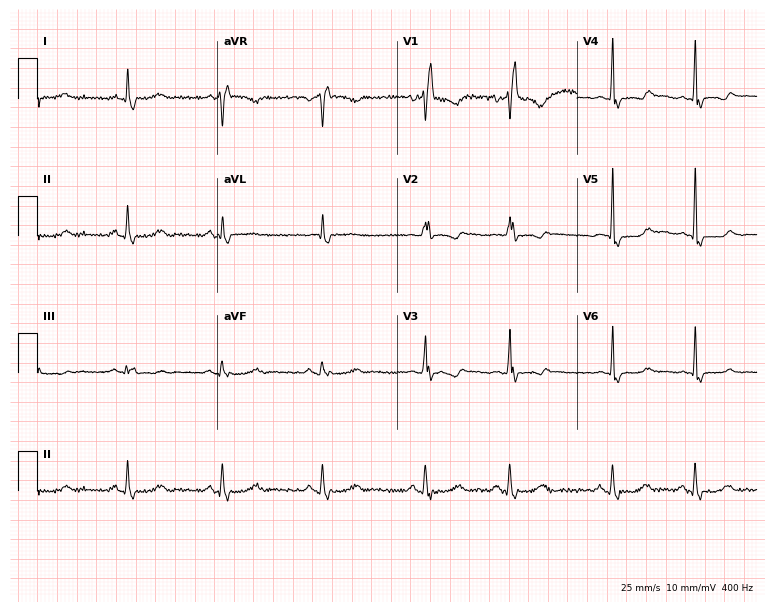
ECG — a male, 69 years old. Findings include right bundle branch block (RBBB).